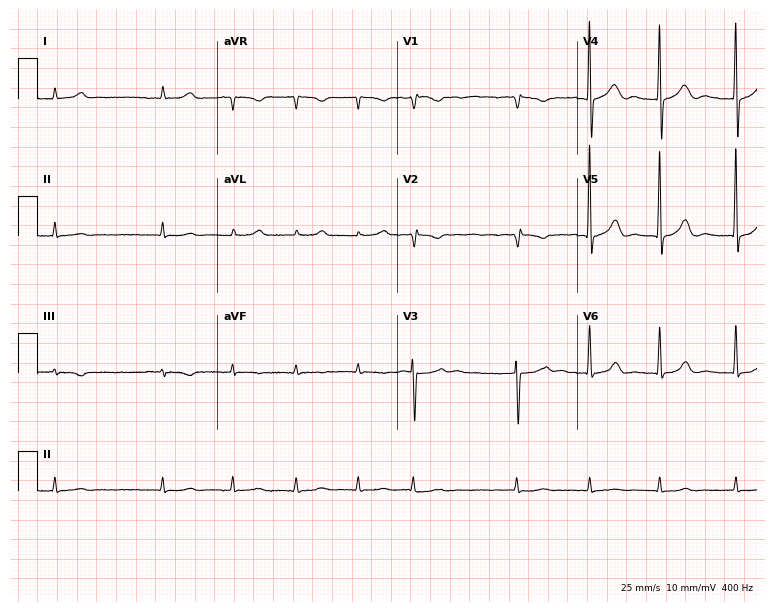
ECG (7.3-second recording at 400 Hz) — a male, 85 years old. Findings include atrial fibrillation.